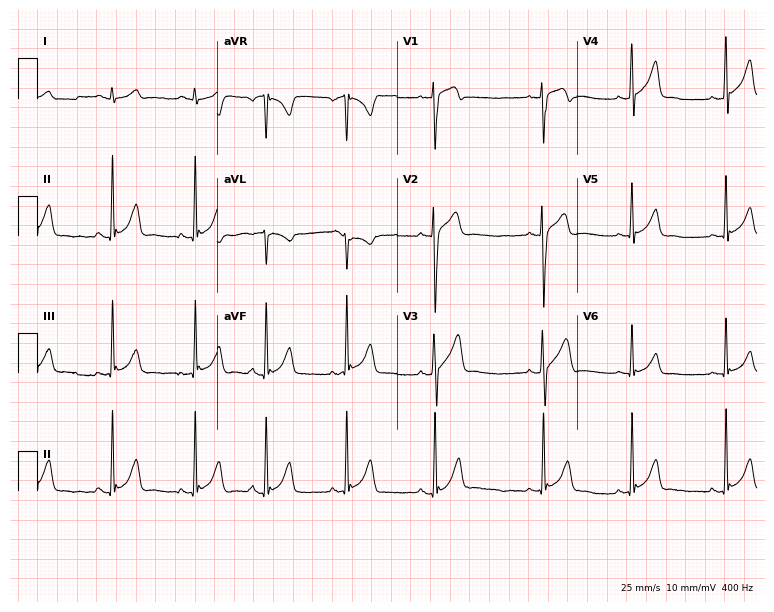
ECG — a 41-year-old male patient. Labelled as a normal ECG.